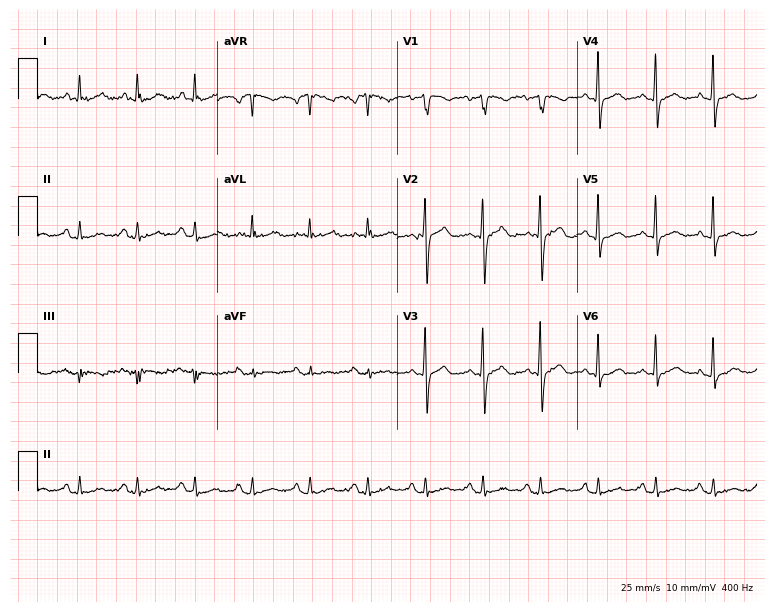
ECG (7.3-second recording at 400 Hz) — an 81-year-old male patient. Findings include sinus tachycardia (a sinus rate of 100 beats per minute or more).